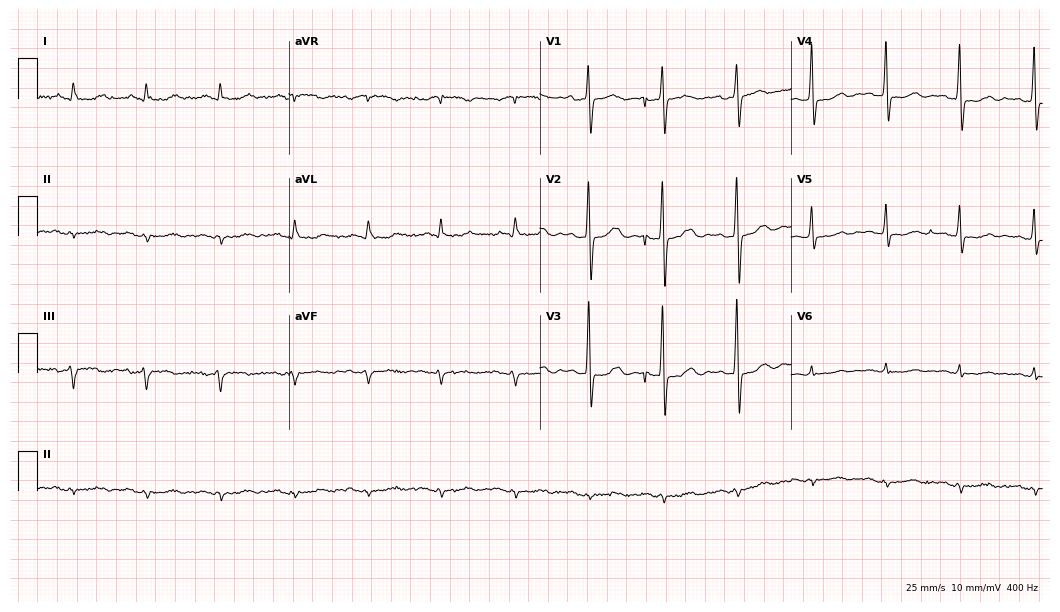
Electrocardiogram (10.2-second recording at 400 Hz), a female, 78 years old. Of the six screened findings (first-degree AV block, right bundle branch block, left bundle branch block, sinus bradycardia, atrial fibrillation, sinus tachycardia), none is recorded. Other findings, if any, are not listed.